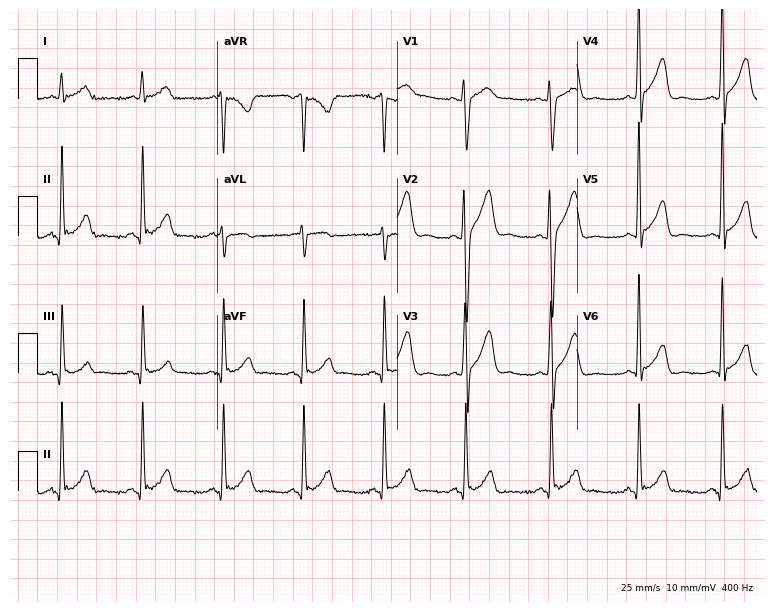
Standard 12-lead ECG recorded from a male, 44 years old (7.3-second recording at 400 Hz). None of these six findings is recorded: first-degree AV block, right bundle branch block, left bundle branch block, sinus bradycardia, atrial fibrillation, sinus tachycardia.